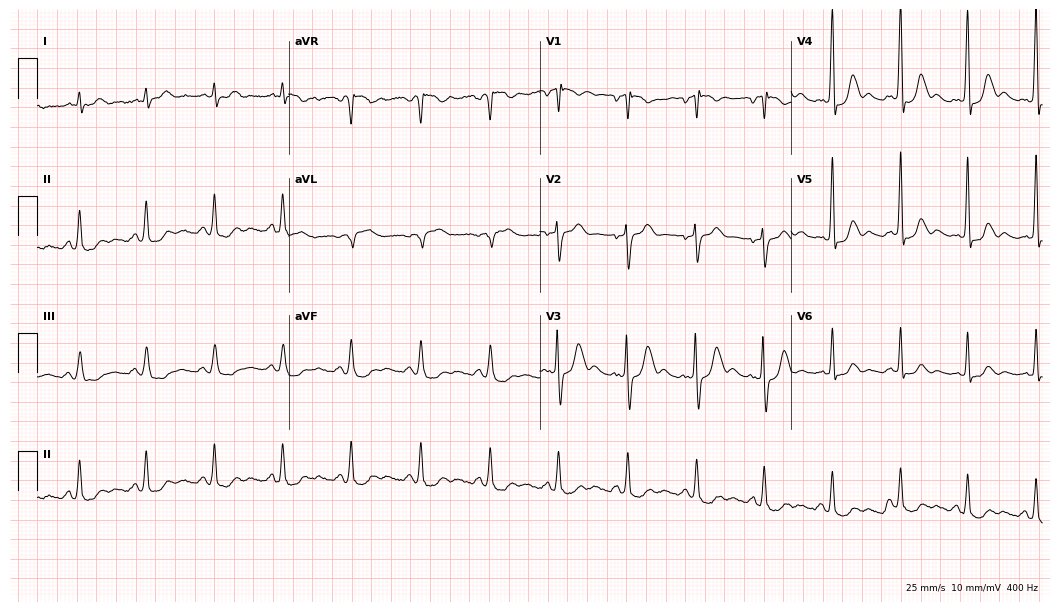
12-lead ECG from a 60-year-old man (10.2-second recording at 400 Hz). No first-degree AV block, right bundle branch block (RBBB), left bundle branch block (LBBB), sinus bradycardia, atrial fibrillation (AF) or sinus tachycardia recorded for this tracing. Findings outside these six are not listed.